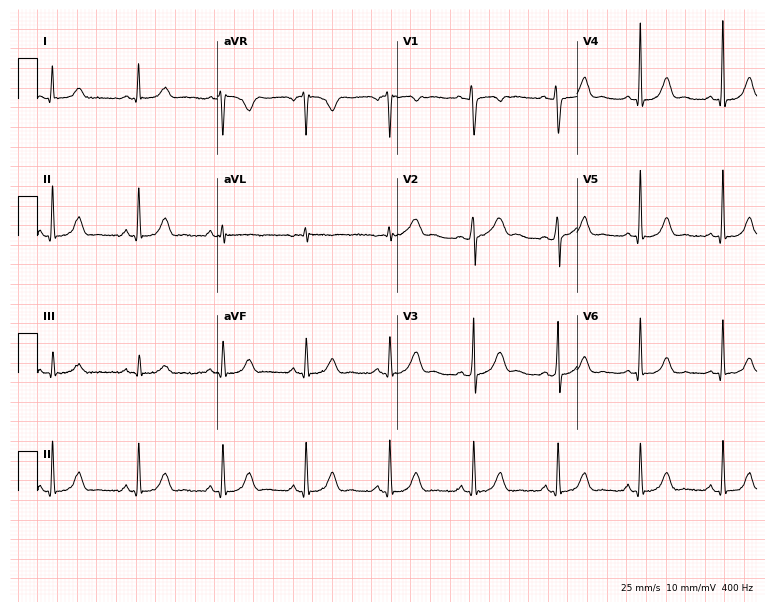
Resting 12-lead electrocardiogram. Patient: a female, 50 years old. Read as a normal ECG.